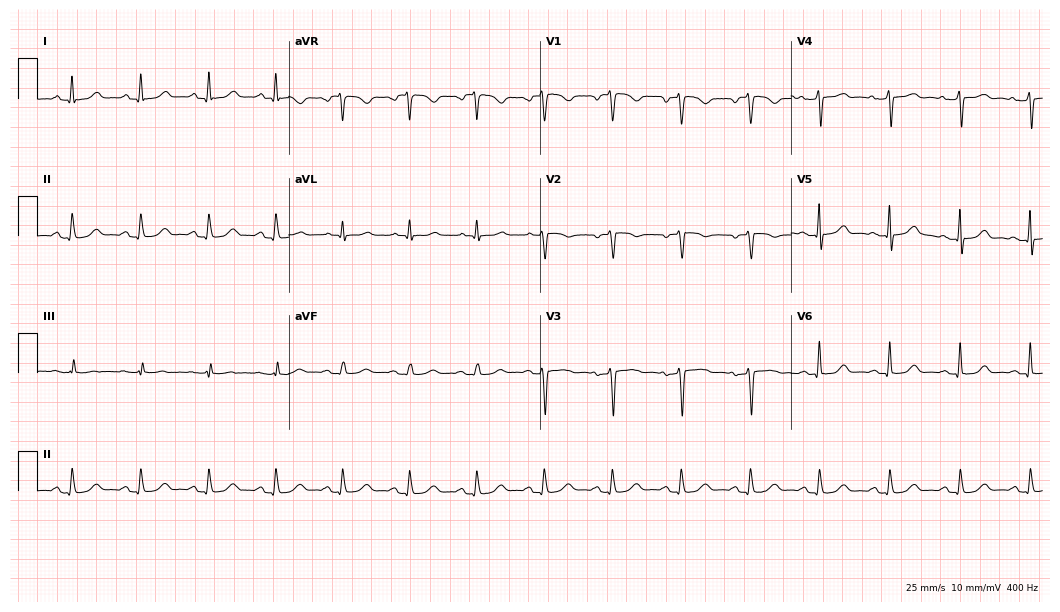
Standard 12-lead ECG recorded from a female, 66 years old (10.2-second recording at 400 Hz). Read as a normal ECG.